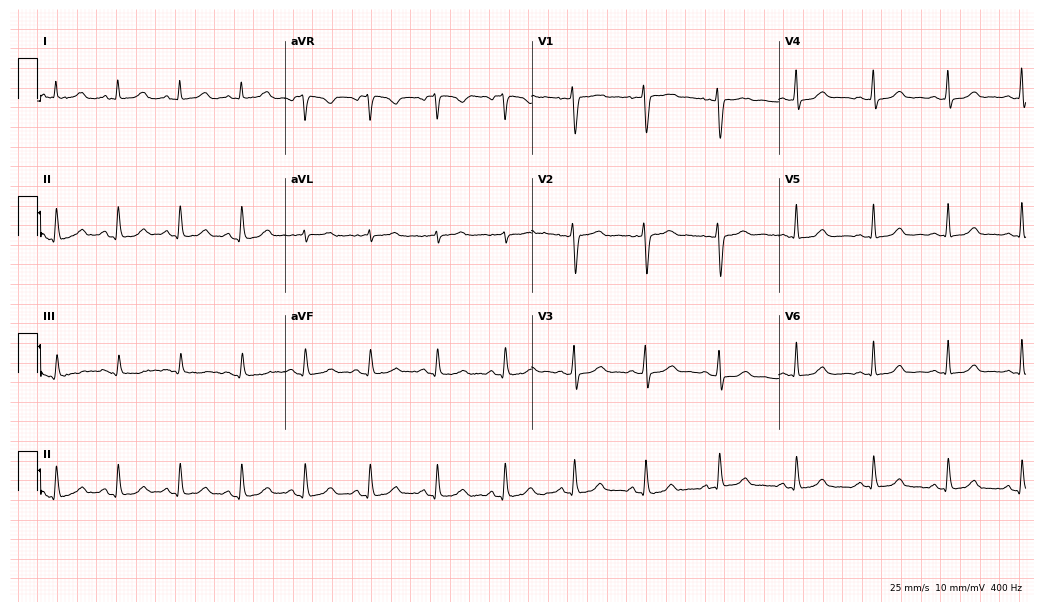
12-lead ECG from a 23-year-old female. No first-degree AV block, right bundle branch block (RBBB), left bundle branch block (LBBB), sinus bradycardia, atrial fibrillation (AF) or sinus tachycardia recorded for this tracing.